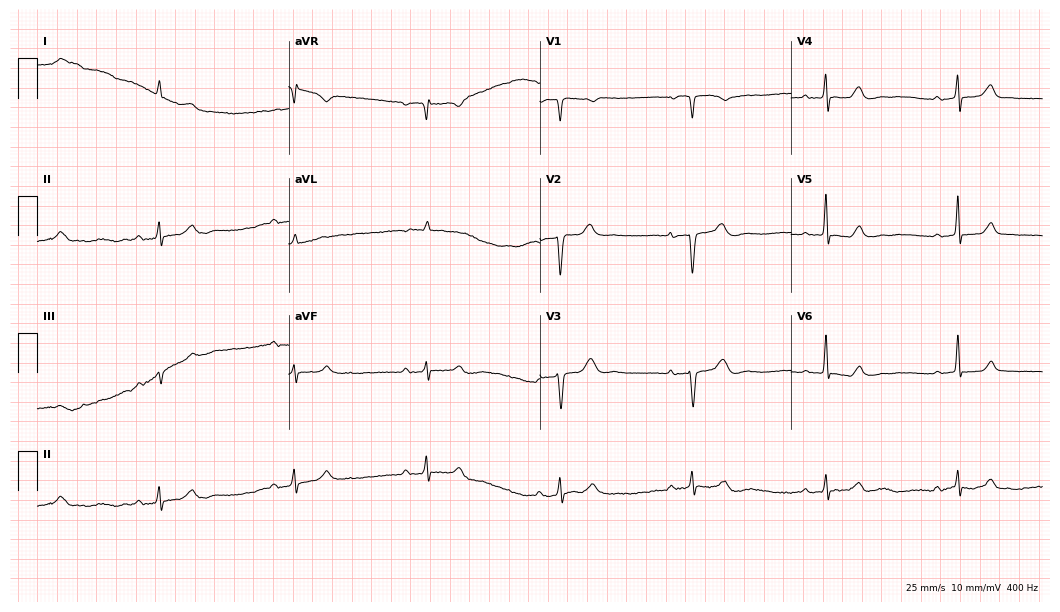
12-lead ECG (10.2-second recording at 400 Hz) from a female patient, 68 years old. Findings include sinus bradycardia (a sinus rate of 50 beats per minute or less).